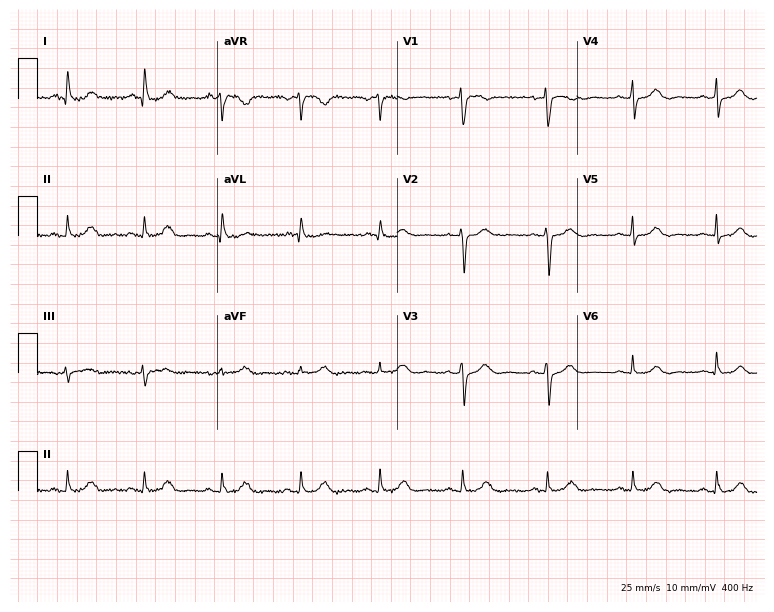
Standard 12-lead ECG recorded from a 60-year-old woman (7.3-second recording at 400 Hz). Read as a normal ECG.